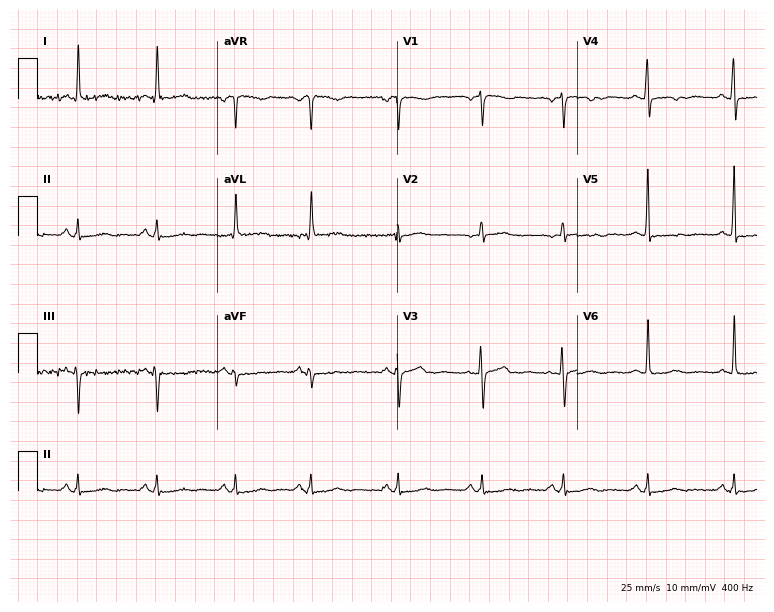
ECG (7.3-second recording at 400 Hz) — a female patient, 44 years old. Screened for six findings — first-degree AV block, right bundle branch block, left bundle branch block, sinus bradycardia, atrial fibrillation, sinus tachycardia — none is recorded.